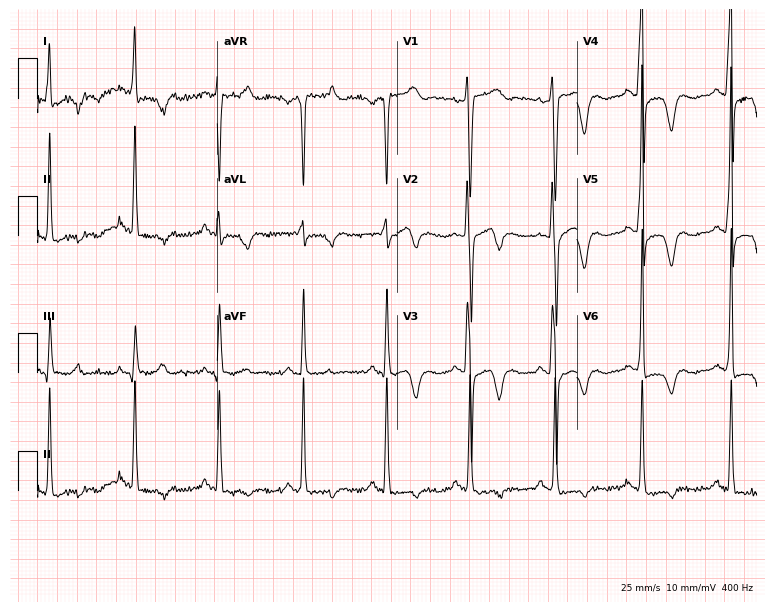
12-lead ECG from a female, 66 years old. No first-degree AV block, right bundle branch block (RBBB), left bundle branch block (LBBB), sinus bradycardia, atrial fibrillation (AF) or sinus tachycardia recorded for this tracing.